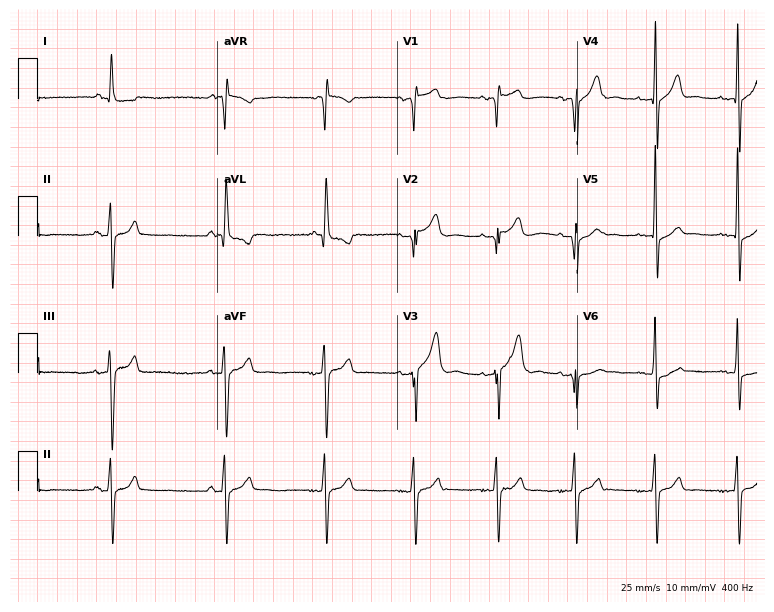
ECG — a male, 85 years old. Screened for six findings — first-degree AV block, right bundle branch block, left bundle branch block, sinus bradycardia, atrial fibrillation, sinus tachycardia — none is recorded. Findings outside these six are not listed.